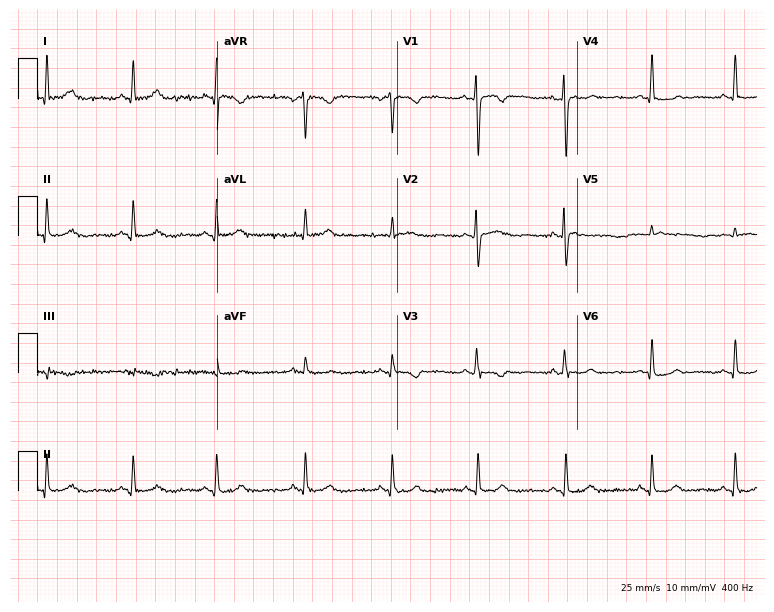
12-lead ECG from a 46-year-old female patient (7.3-second recording at 400 Hz). Recorded interpretation: within normal limits.